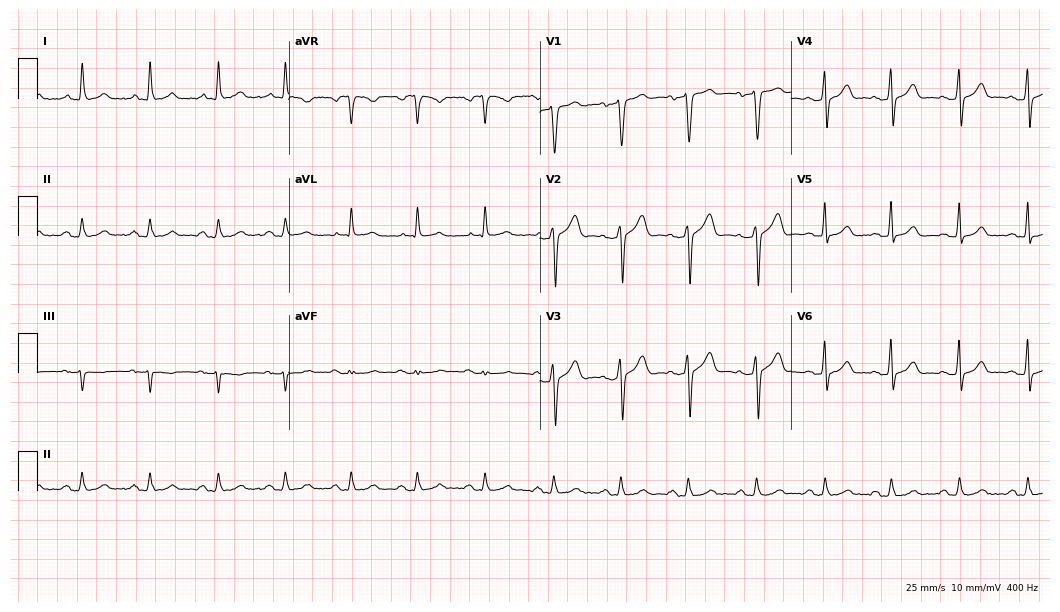
12-lead ECG from a man, 41 years old. Labelled as a normal ECG.